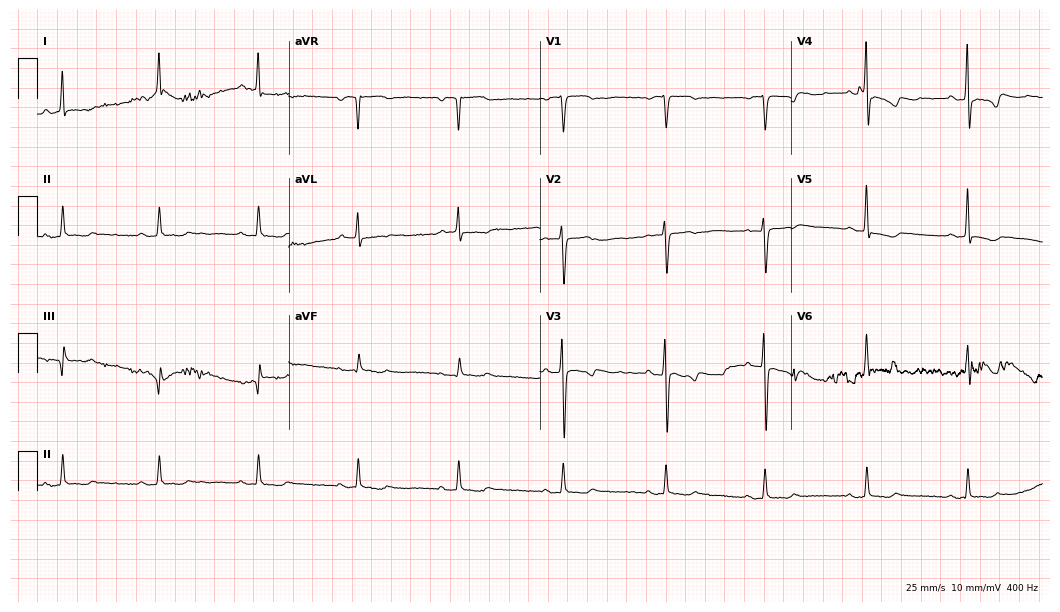
Standard 12-lead ECG recorded from a female, 75 years old. None of these six findings is recorded: first-degree AV block, right bundle branch block, left bundle branch block, sinus bradycardia, atrial fibrillation, sinus tachycardia. Findings outside these six are not listed.